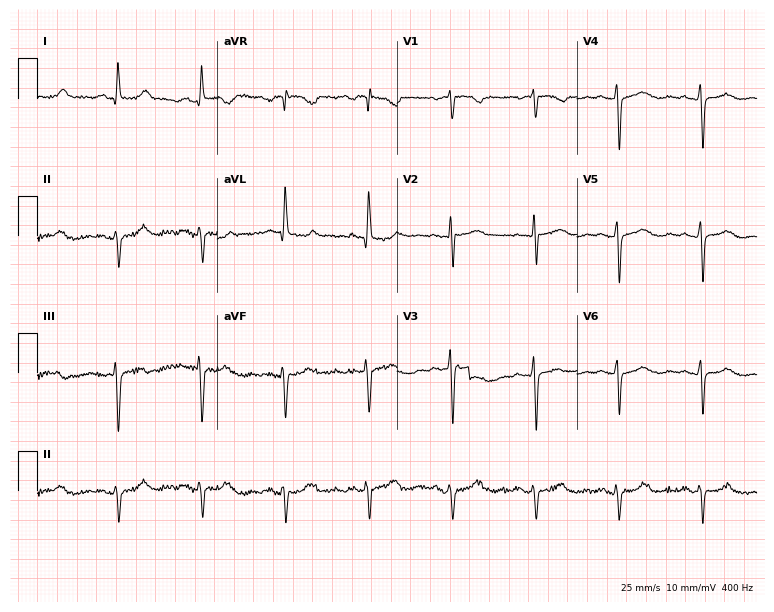
ECG — a 71-year-old woman. Screened for six findings — first-degree AV block, right bundle branch block (RBBB), left bundle branch block (LBBB), sinus bradycardia, atrial fibrillation (AF), sinus tachycardia — none is recorded.